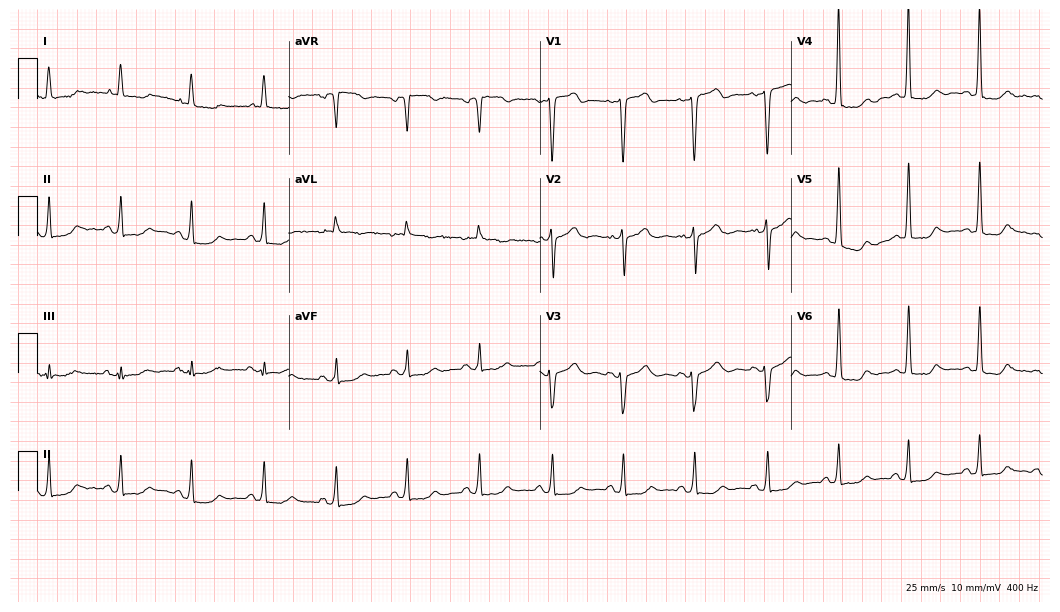
Resting 12-lead electrocardiogram. Patient: an 83-year-old woman. None of these six findings is recorded: first-degree AV block, right bundle branch block, left bundle branch block, sinus bradycardia, atrial fibrillation, sinus tachycardia. Only these six findings were labelled.